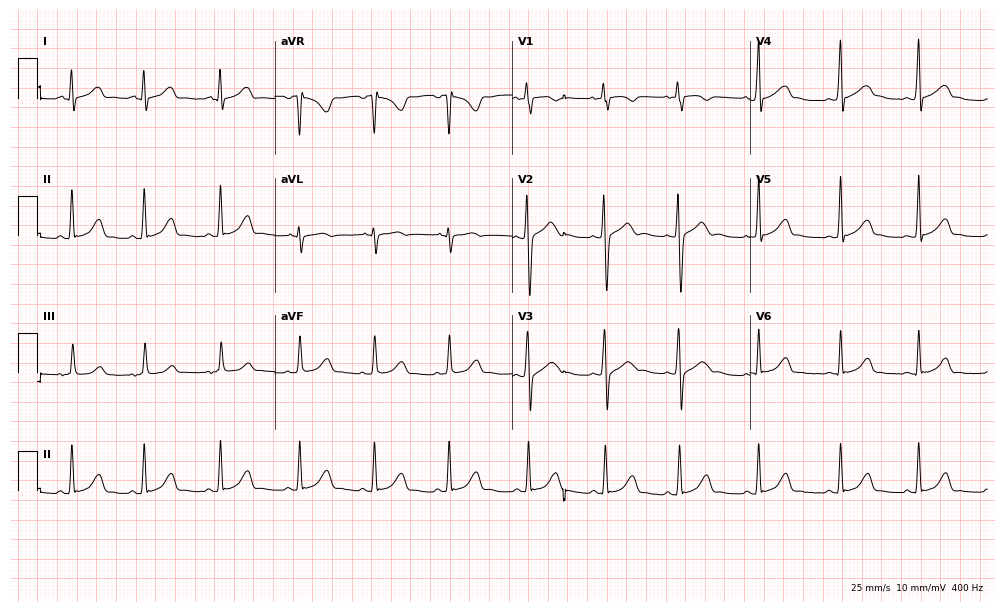
Standard 12-lead ECG recorded from a male patient, 34 years old (9.7-second recording at 400 Hz). Read as a normal ECG.